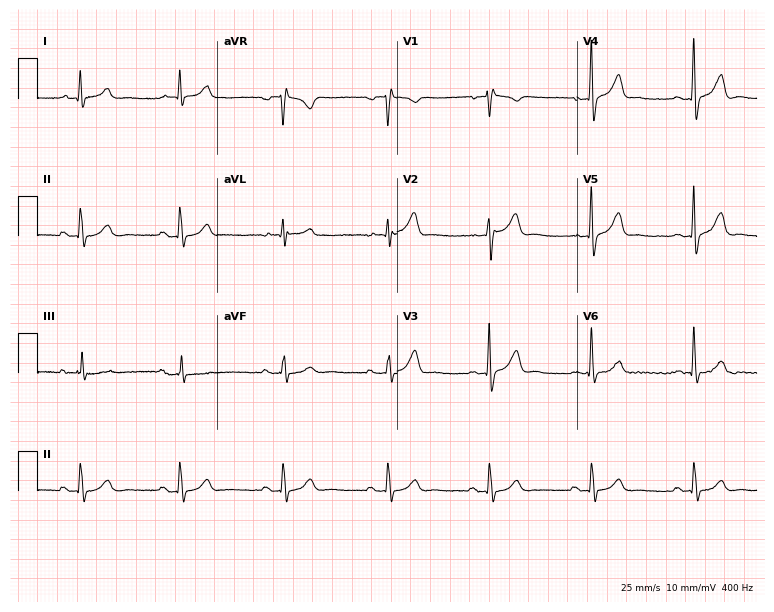
12-lead ECG from a male patient, 59 years old (7.3-second recording at 400 Hz). No first-degree AV block, right bundle branch block (RBBB), left bundle branch block (LBBB), sinus bradycardia, atrial fibrillation (AF) or sinus tachycardia recorded for this tracing.